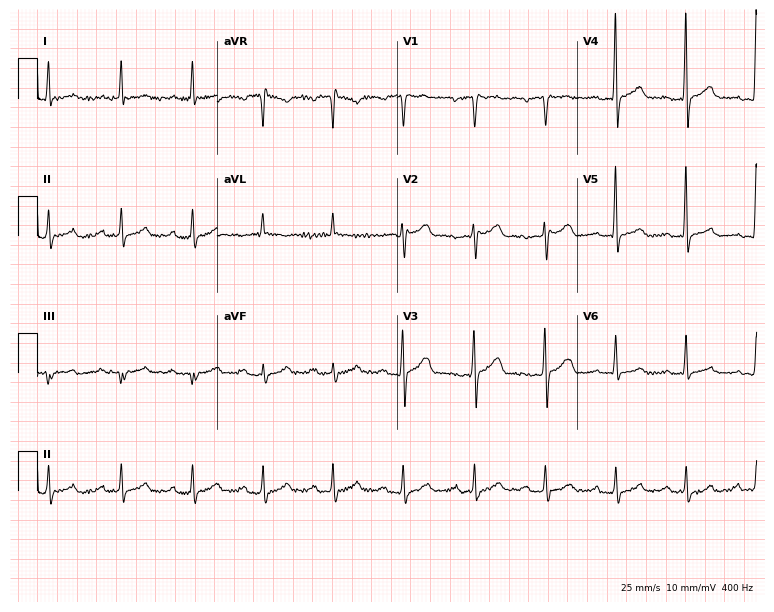
12-lead ECG from a 57-year-old male (7.3-second recording at 400 Hz). No first-degree AV block, right bundle branch block (RBBB), left bundle branch block (LBBB), sinus bradycardia, atrial fibrillation (AF) or sinus tachycardia recorded for this tracing.